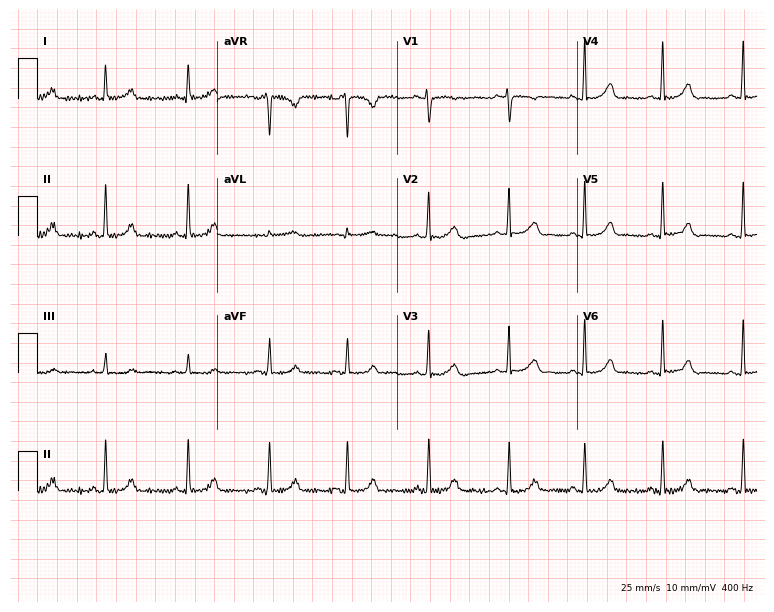
12-lead ECG from a 28-year-old female patient (7.3-second recording at 400 Hz). No first-degree AV block, right bundle branch block, left bundle branch block, sinus bradycardia, atrial fibrillation or sinus tachycardia recorded for this tracing. Findings outside these six are not listed.